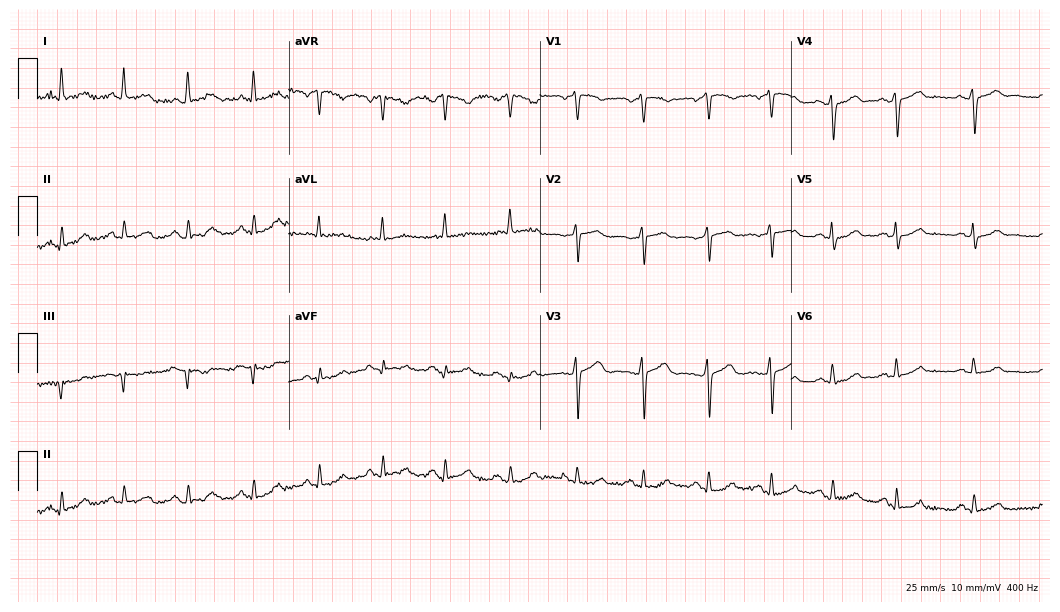
Electrocardiogram (10.2-second recording at 400 Hz), a 59-year-old female. Overall reading on record: normal ECG.